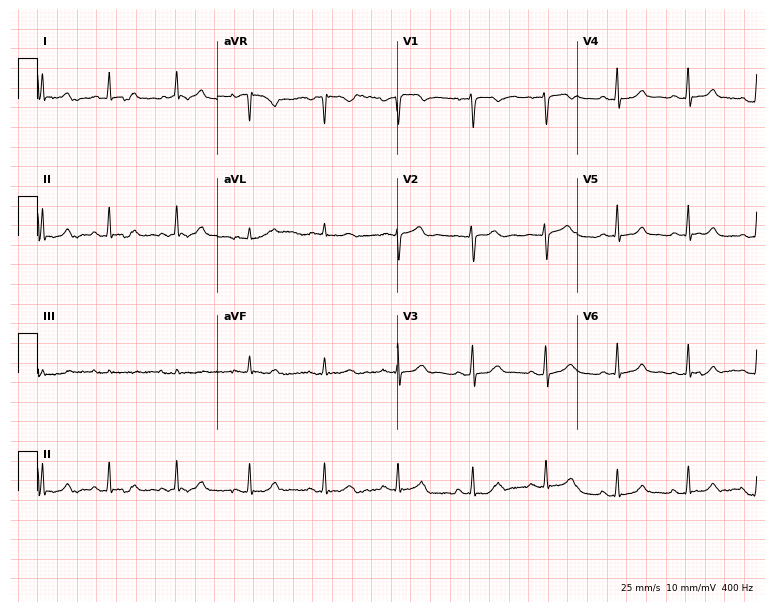
12-lead ECG from a 25-year-old woman. Labelled as a normal ECG.